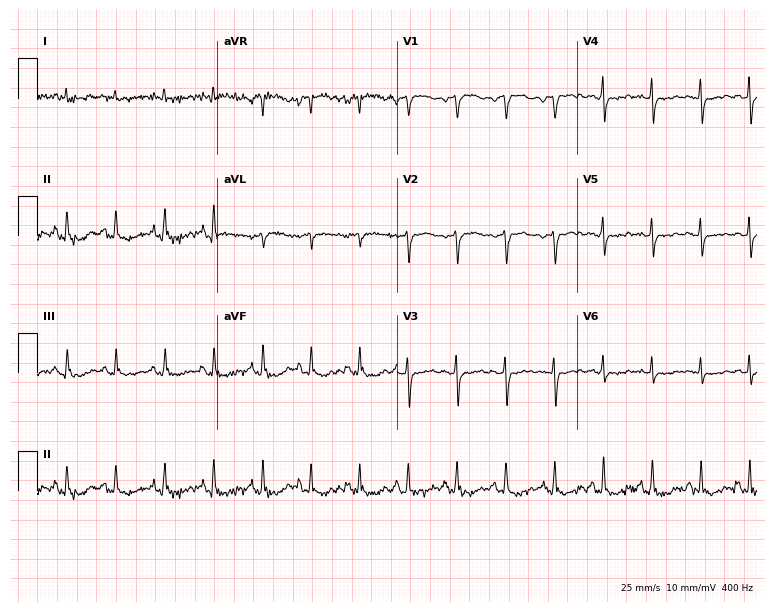
12-lead ECG from a 48-year-old female patient. Shows sinus tachycardia (a sinus rate of 100 beats per minute or more).